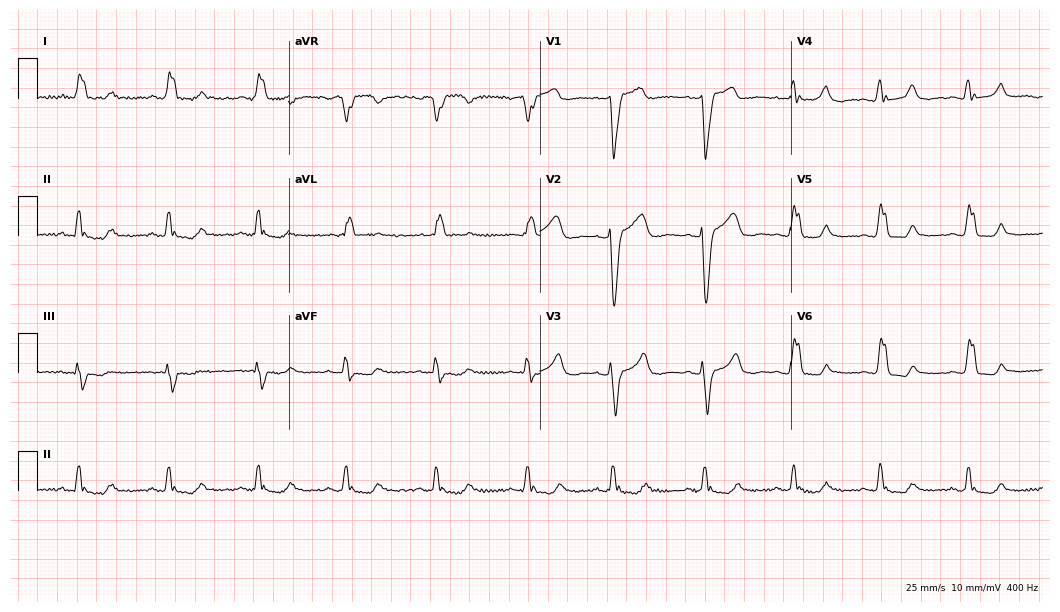
ECG (10.2-second recording at 400 Hz) — a female, 62 years old. Screened for six findings — first-degree AV block, right bundle branch block, left bundle branch block, sinus bradycardia, atrial fibrillation, sinus tachycardia — none is recorded.